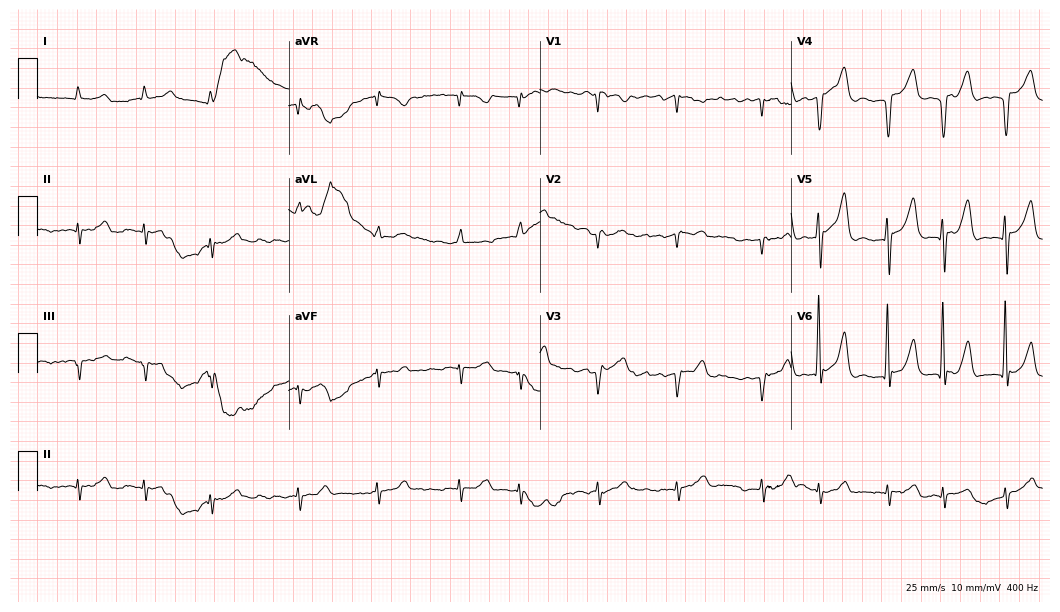
ECG (10.2-second recording at 400 Hz) — a male, 82 years old. Findings include atrial fibrillation (AF).